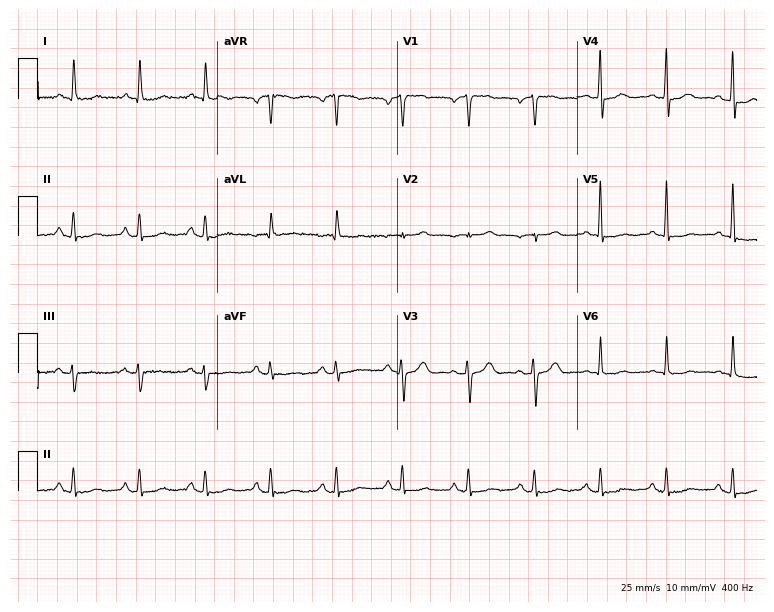
ECG — a female, 62 years old. Screened for six findings — first-degree AV block, right bundle branch block, left bundle branch block, sinus bradycardia, atrial fibrillation, sinus tachycardia — none is recorded. Findings outside these six are not listed.